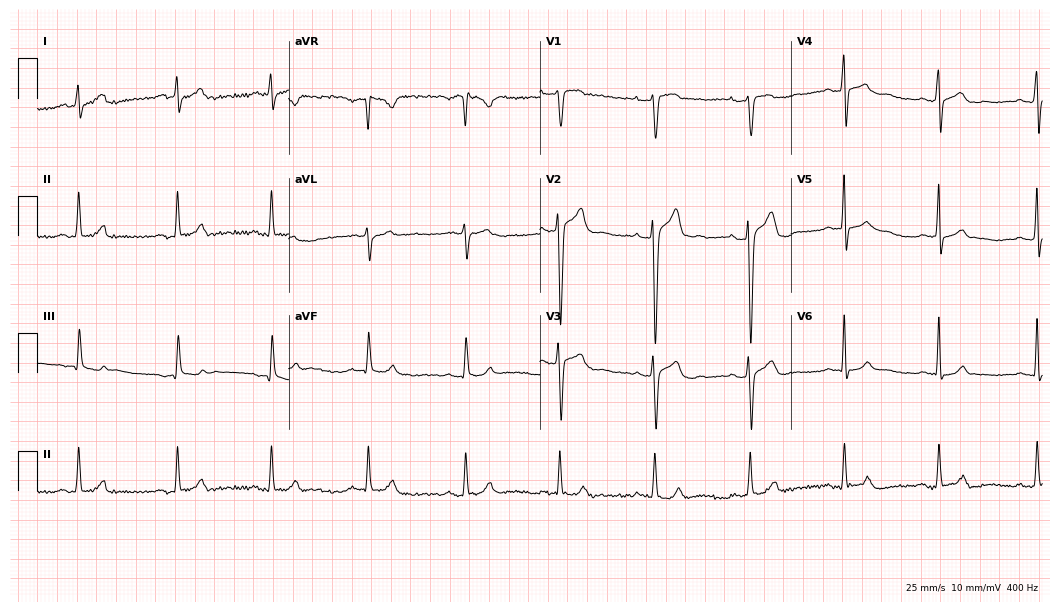
Standard 12-lead ECG recorded from a male, 17 years old (10.2-second recording at 400 Hz). Read as a normal ECG.